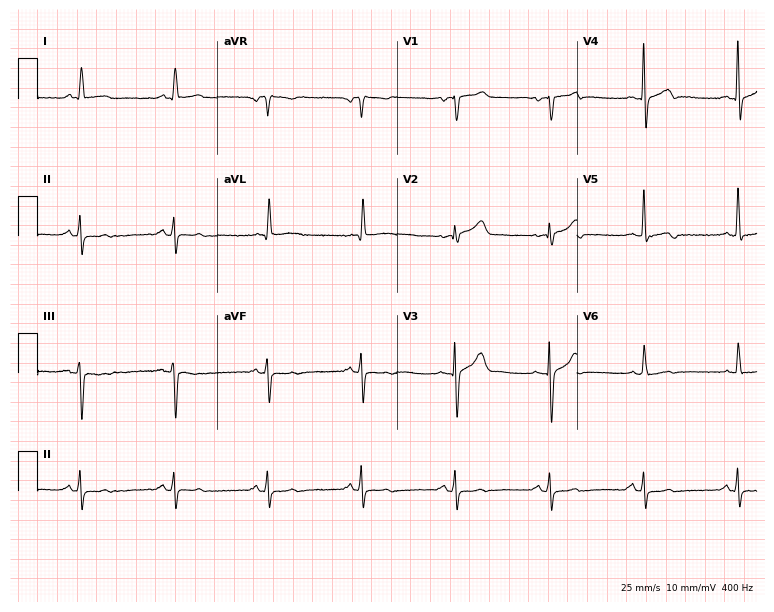
Resting 12-lead electrocardiogram (7.3-second recording at 400 Hz). Patient: a female, 80 years old. None of these six findings is recorded: first-degree AV block, right bundle branch block (RBBB), left bundle branch block (LBBB), sinus bradycardia, atrial fibrillation (AF), sinus tachycardia. Findings outside these six are not listed.